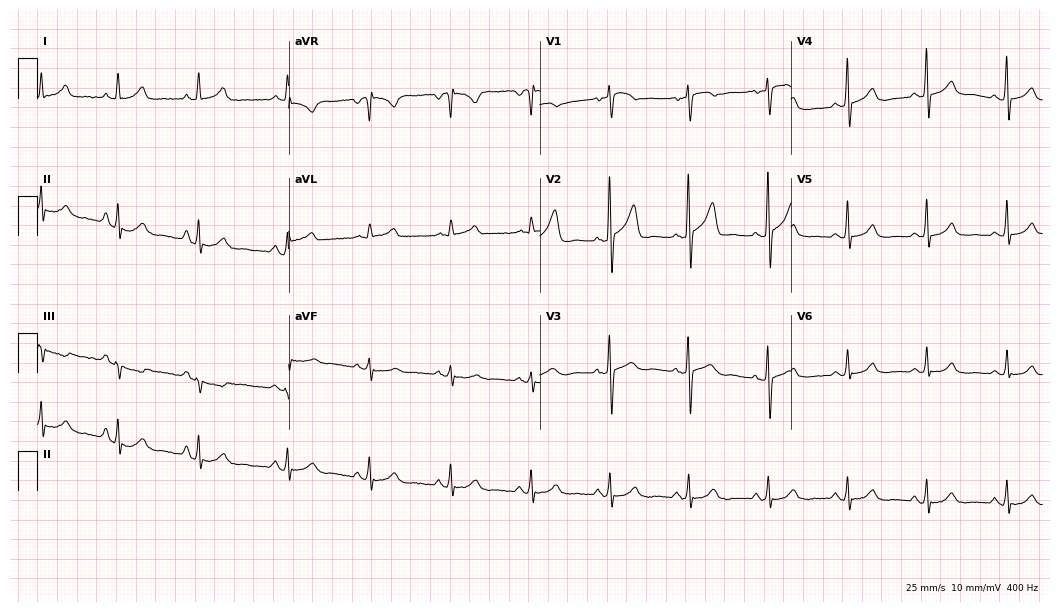
Resting 12-lead electrocardiogram. Patient: a female, 57 years old. None of these six findings is recorded: first-degree AV block, right bundle branch block, left bundle branch block, sinus bradycardia, atrial fibrillation, sinus tachycardia. Other findings, if any, are not listed.